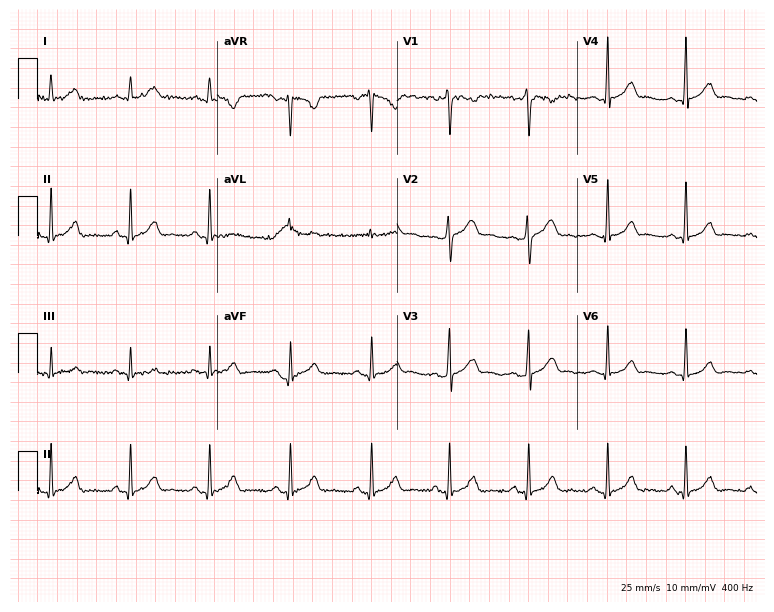
ECG — a 31-year-old man. Labelled as a normal ECG.